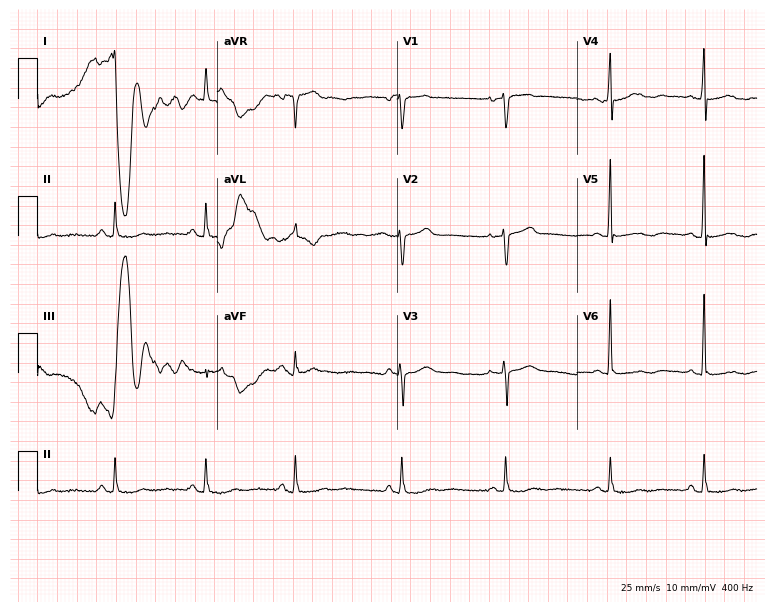
Electrocardiogram (7.3-second recording at 400 Hz), a 77-year-old female patient. Of the six screened findings (first-degree AV block, right bundle branch block (RBBB), left bundle branch block (LBBB), sinus bradycardia, atrial fibrillation (AF), sinus tachycardia), none is recorded. Other findings, if any, are not listed.